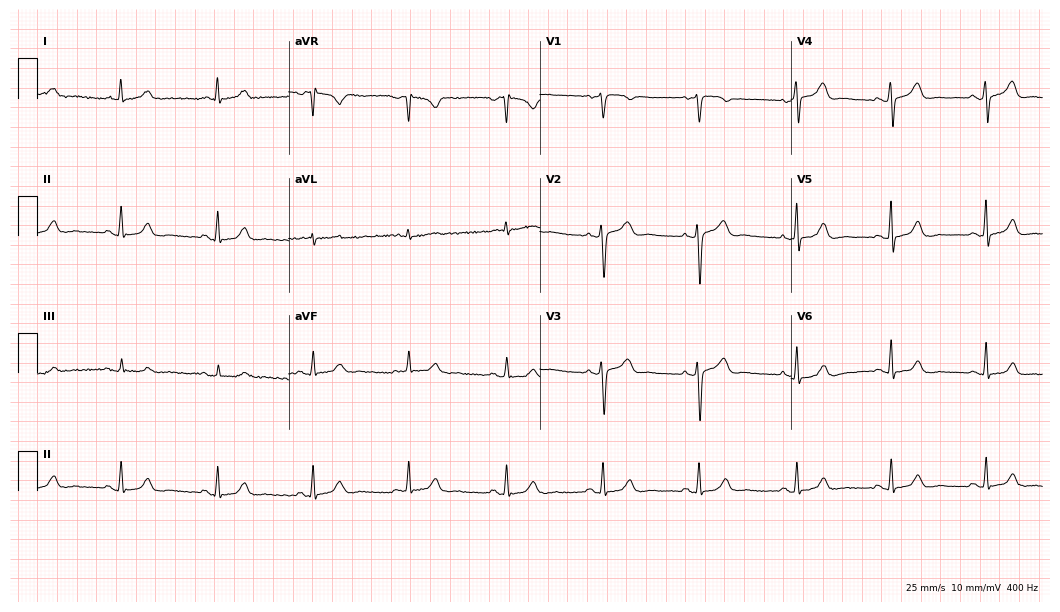
ECG — a 76-year-old woman. Labelled as a normal ECG.